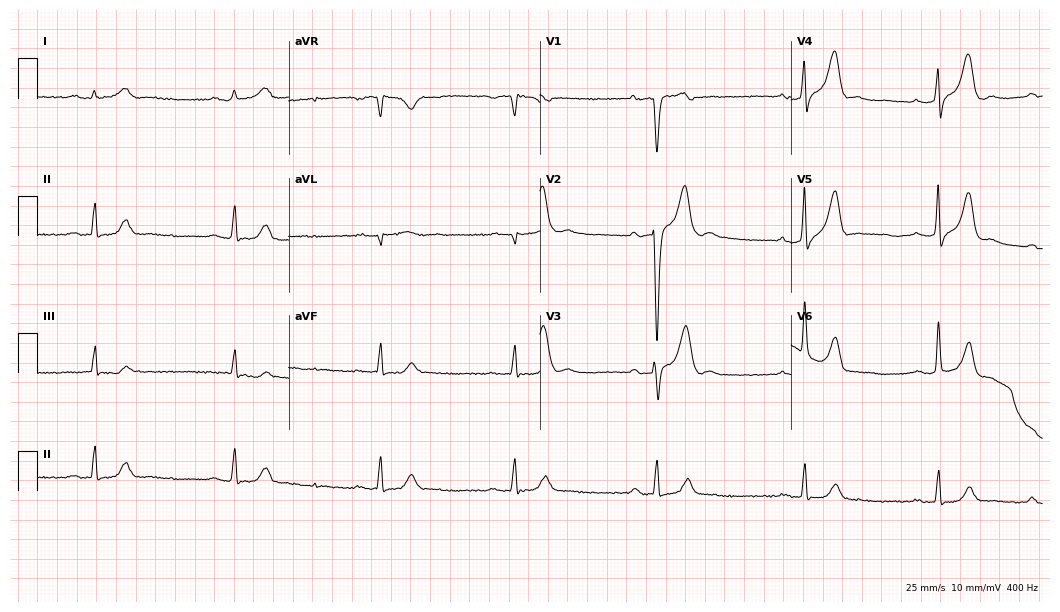
Standard 12-lead ECG recorded from a 49-year-old man (10.2-second recording at 400 Hz). The tracing shows first-degree AV block, sinus bradycardia (a sinus rate of 50 beats per minute or less).